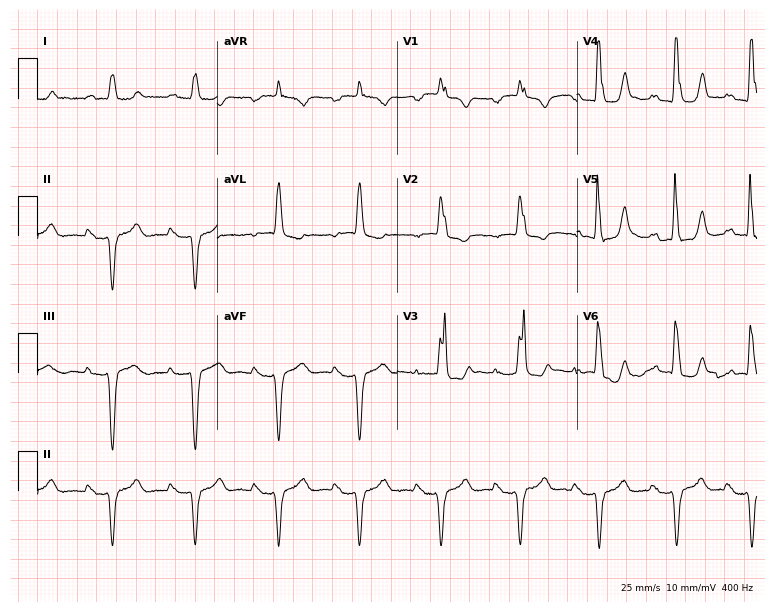
12-lead ECG from an 85-year-old man. Findings include first-degree AV block, right bundle branch block (RBBB).